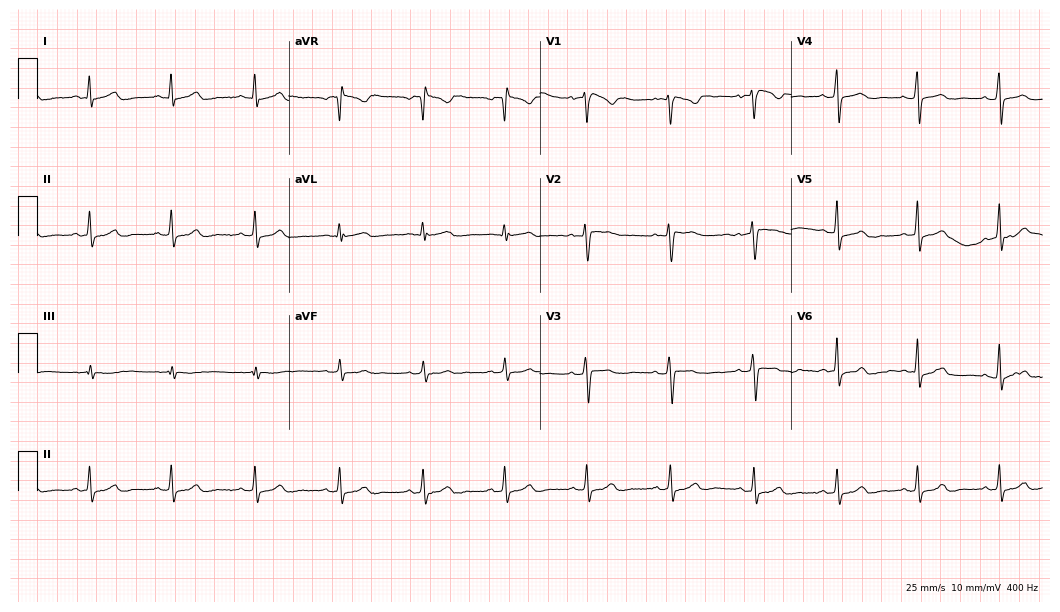
Electrocardiogram (10.2-second recording at 400 Hz), a woman, 47 years old. Overall reading on record: normal ECG.